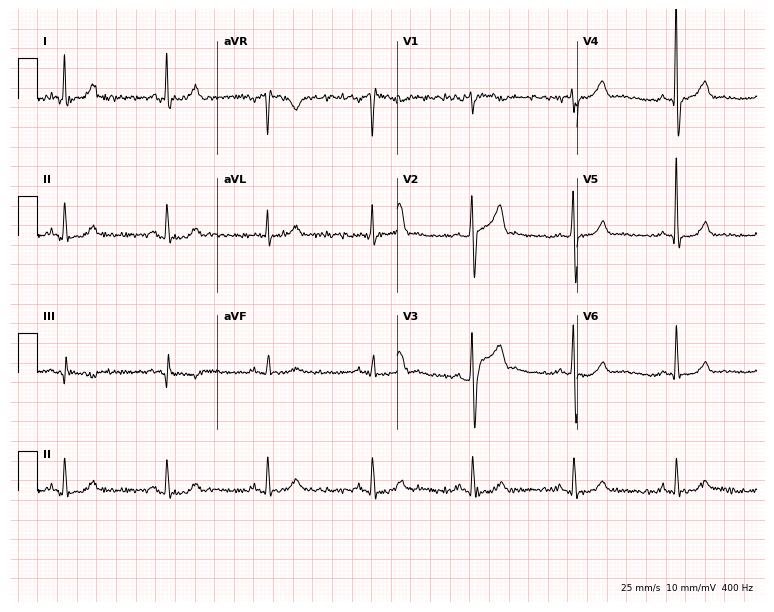
Standard 12-lead ECG recorded from a 48-year-old male patient (7.3-second recording at 400 Hz). None of these six findings is recorded: first-degree AV block, right bundle branch block (RBBB), left bundle branch block (LBBB), sinus bradycardia, atrial fibrillation (AF), sinus tachycardia.